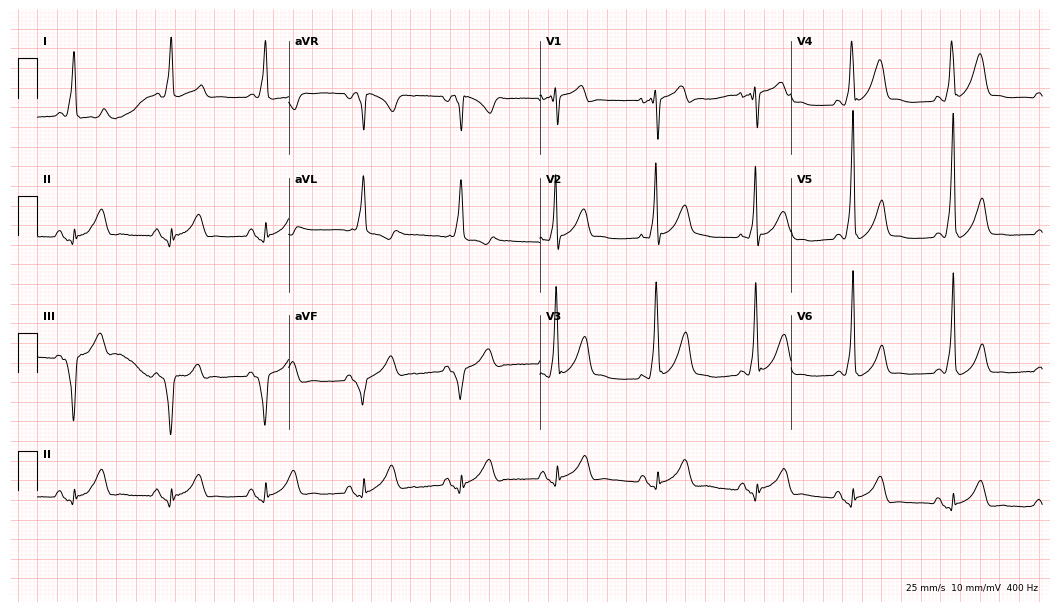
Resting 12-lead electrocardiogram. Patient: a 49-year-old male. None of these six findings is recorded: first-degree AV block, right bundle branch block, left bundle branch block, sinus bradycardia, atrial fibrillation, sinus tachycardia.